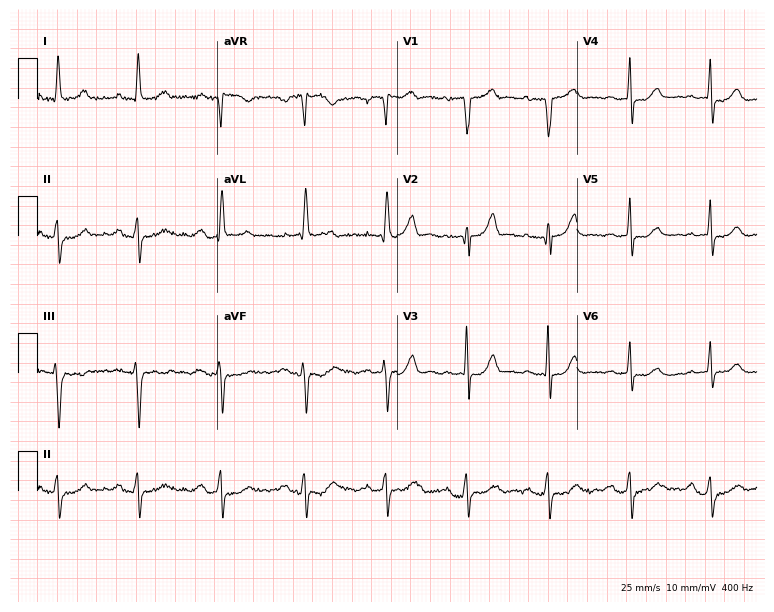
Electrocardiogram, a female, 57 years old. Overall reading on record: normal ECG.